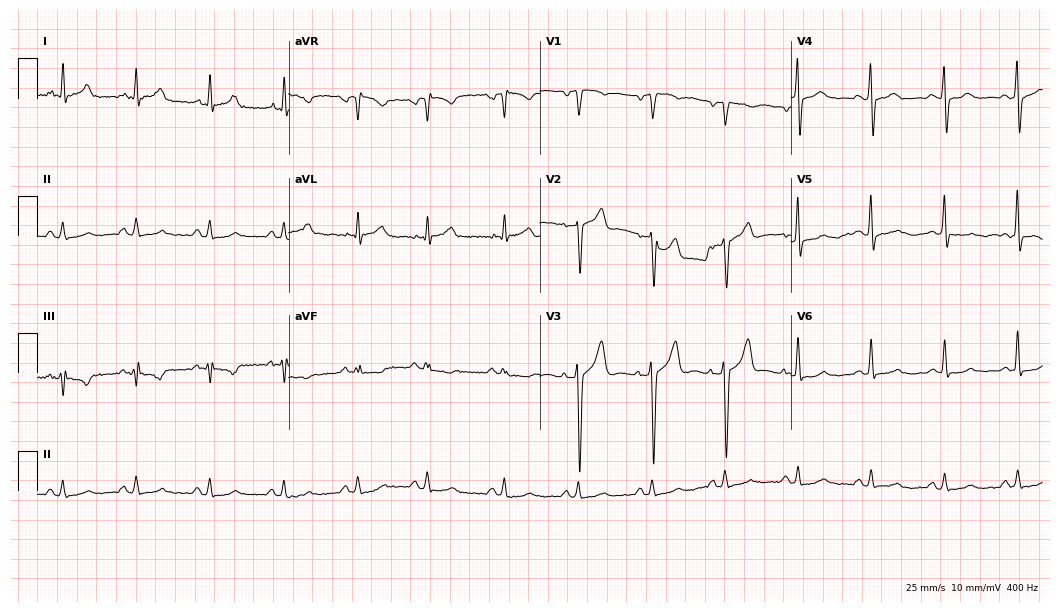
12-lead ECG from a 53-year-old man (10.2-second recording at 400 Hz). No first-degree AV block, right bundle branch block, left bundle branch block, sinus bradycardia, atrial fibrillation or sinus tachycardia recorded for this tracing. Only these six findings were labelled.